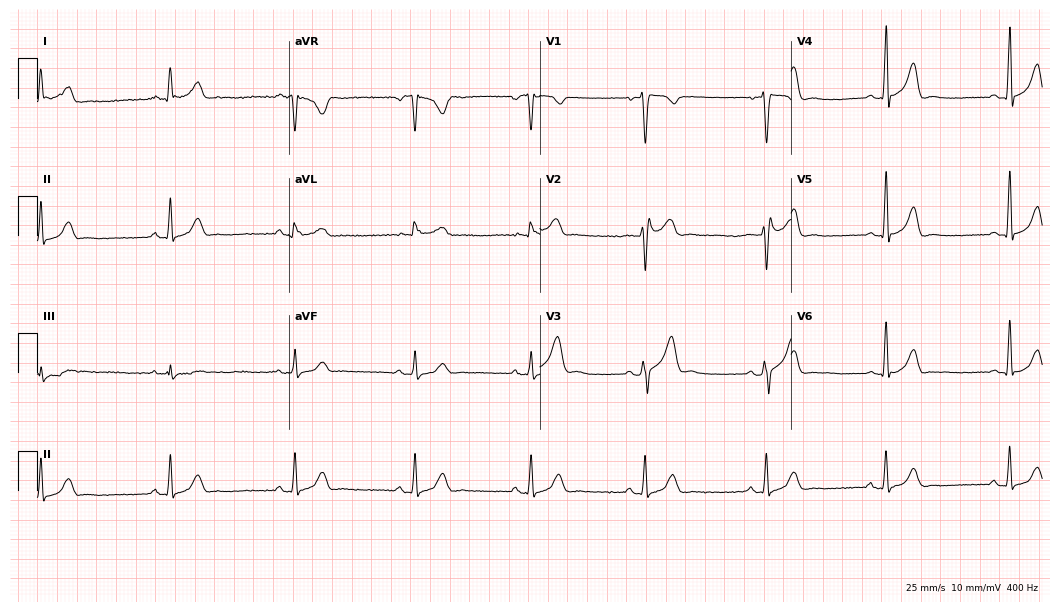
Resting 12-lead electrocardiogram. Patient: a 42-year-old man. None of these six findings is recorded: first-degree AV block, right bundle branch block, left bundle branch block, sinus bradycardia, atrial fibrillation, sinus tachycardia. Only these six findings were labelled.